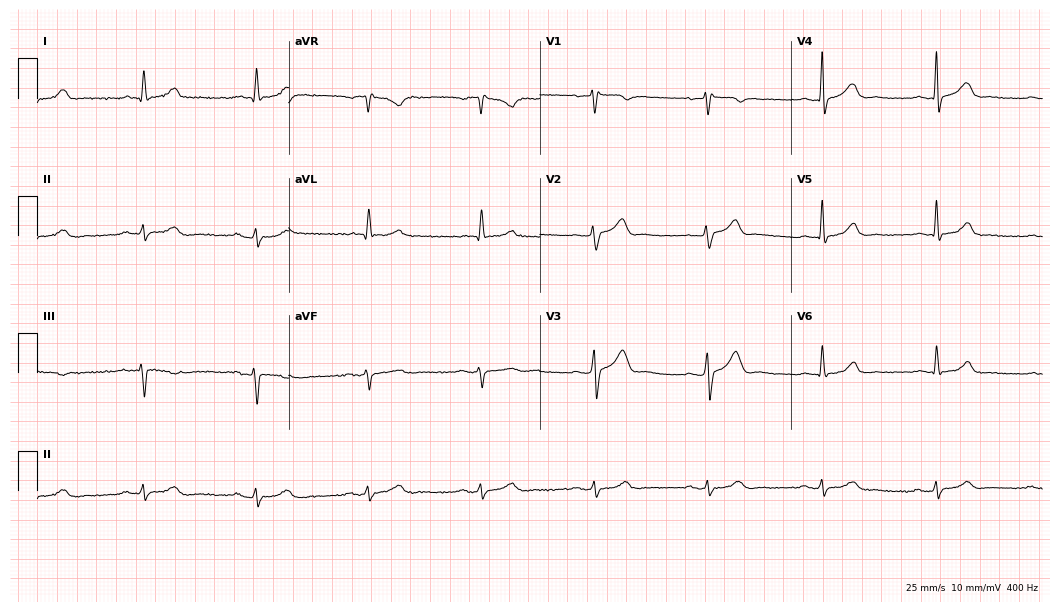
Electrocardiogram, a man, 63 years old. Of the six screened findings (first-degree AV block, right bundle branch block, left bundle branch block, sinus bradycardia, atrial fibrillation, sinus tachycardia), none is recorded. Other findings, if any, are not listed.